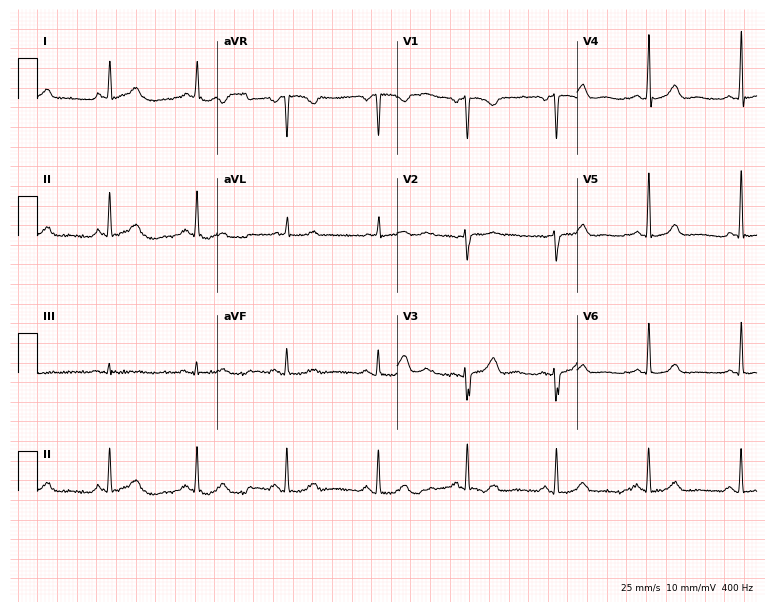
Standard 12-lead ECG recorded from a female patient, 44 years old (7.3-second recording at 400 Hz). None of these six findings is recorded: first-degree AV block, right bundle branch block, left bundle branch block, sinus bradycardia, atrial fibrillation, sinus tachycardia.